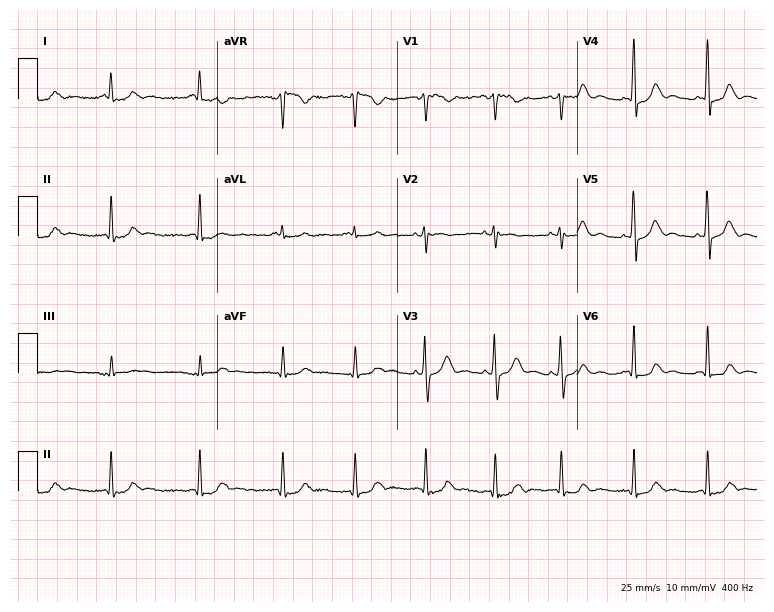
12-lead ECG (7.3-second recording at 400 Hz) from a 32-year-old female patient. Labelled as a normal ECG.